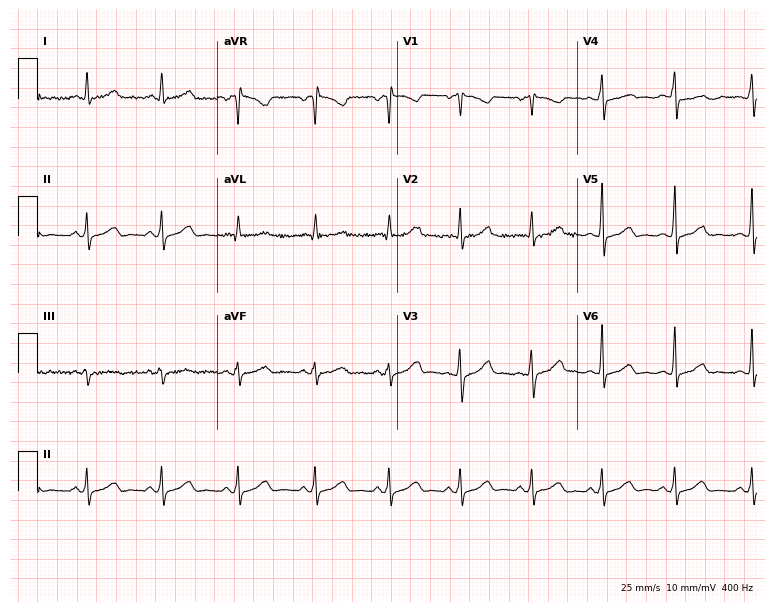
Standard 12-lead ECG recorded from a 44-year-old woman. Read as a normal ECG.